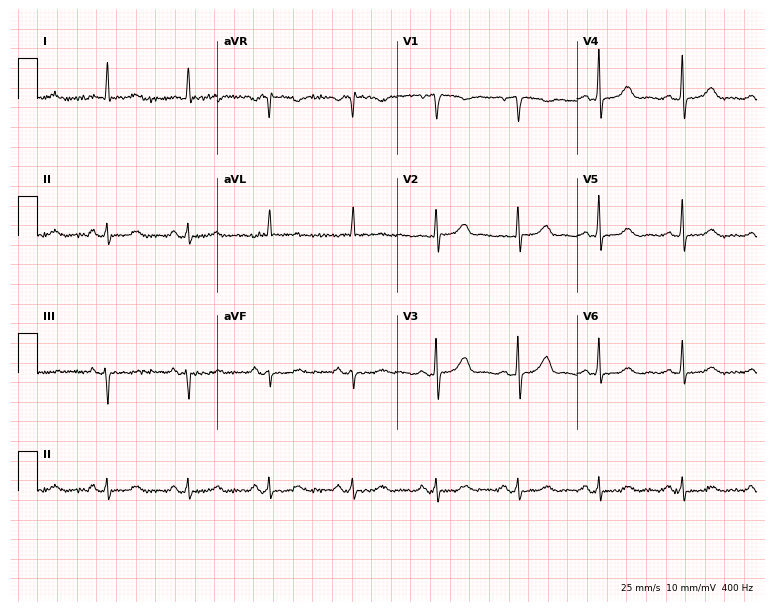
Electrocardiogram, a 53-year-old female patient. Overall reading on record: normal ECG.